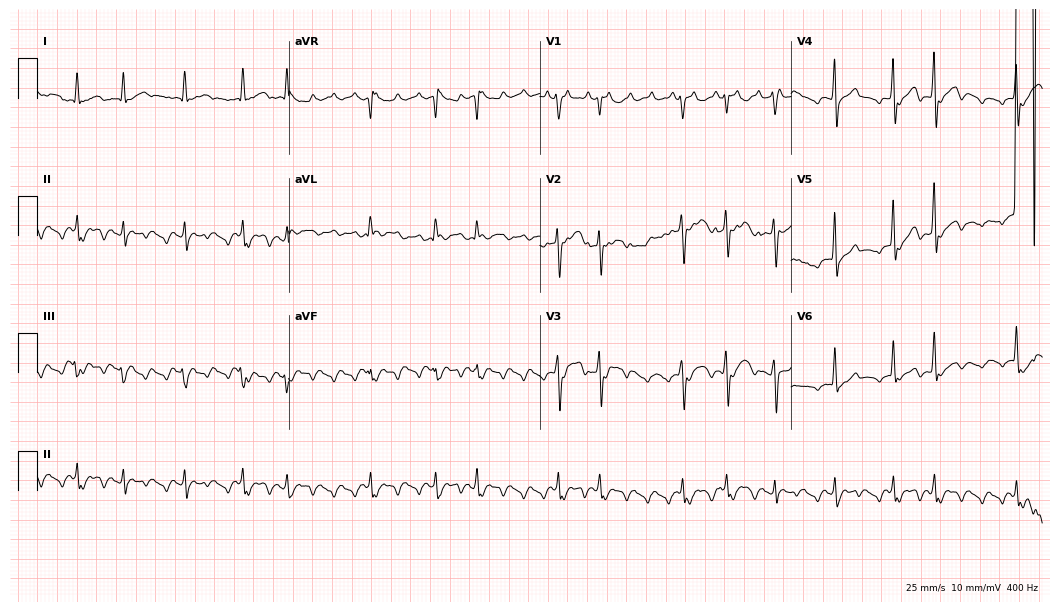
ECG — a 71-year-old male. Screened for six findings — first-degree AV block, right bundle branch block, left bundle branch block, sinus bradycardia, atrial fibrillation, sinus tachycardia — none is recorded. Other findings, if any, are not listed.